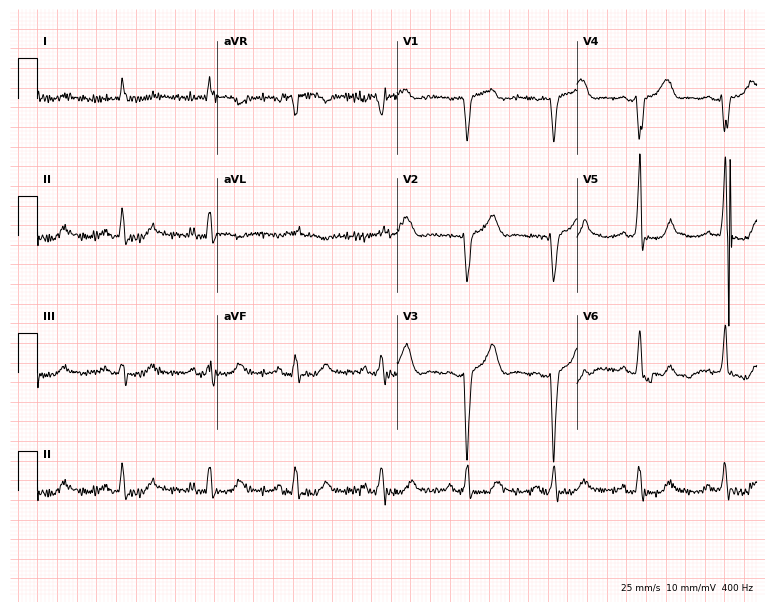
Resting 12-lead electrocardiogram. Patient: a woman, 85 years old. None of these six findings is recorded: first-degree AV block, right bundle branch block, left bundle branch block, sinus bradycardia, atrial fibrillation, sinus tachycardia.